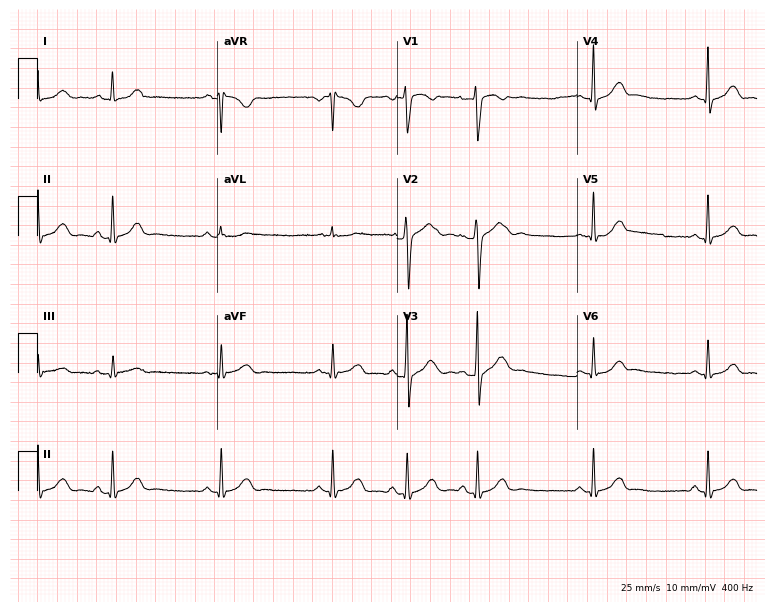
Resting 12-lead electrocardiogram (7.3-second recording at 400 Hz). Patient: a female, 17 years old. Read as a normal ECG.